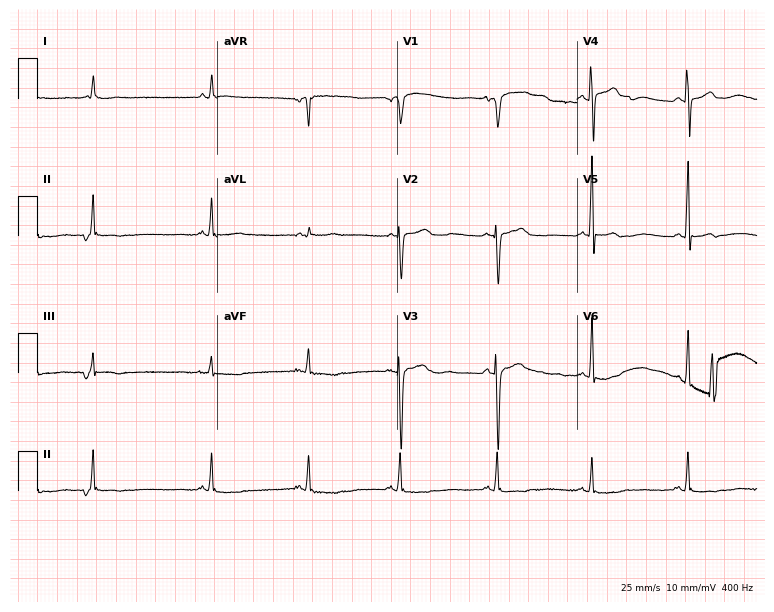
Resting 12-lead electrocardiogram. Patient: a male, 77 years old. Read as a normal ECG.